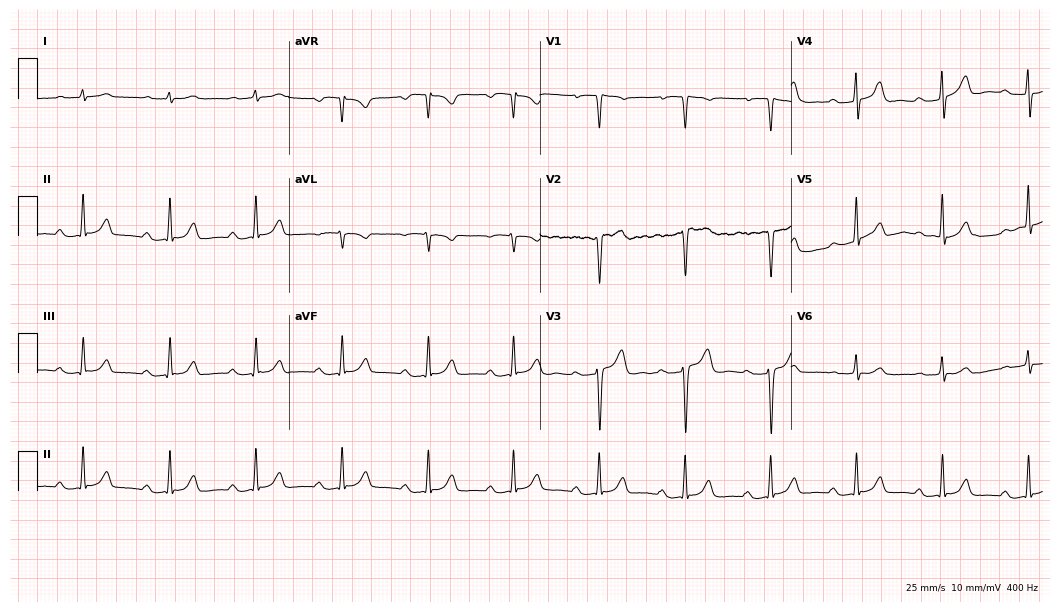
ECG (10.2-second recording at 400 Hz) — a man, 75 years old. Findings include first-degree AV block.